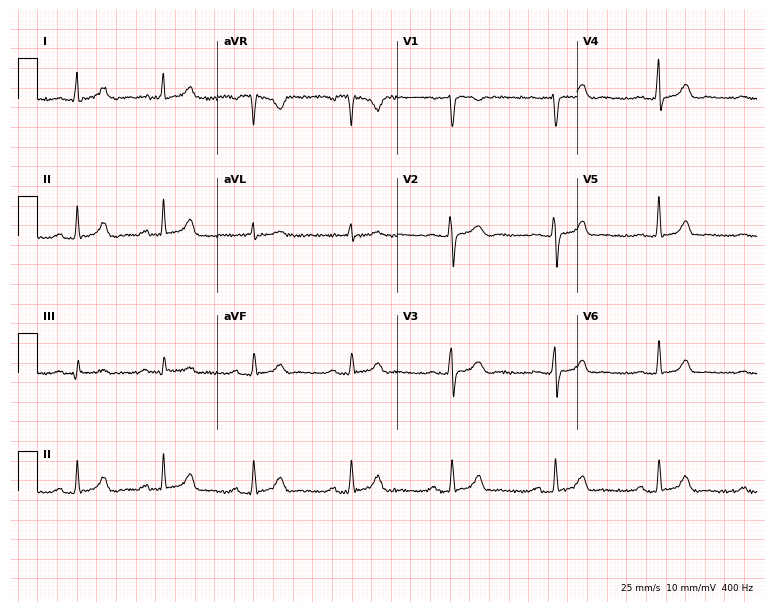
12-lead ECG from a 51-year-old female patient (7.3-second recording at 400 Hz). Recorded interpretation: within normal limits.